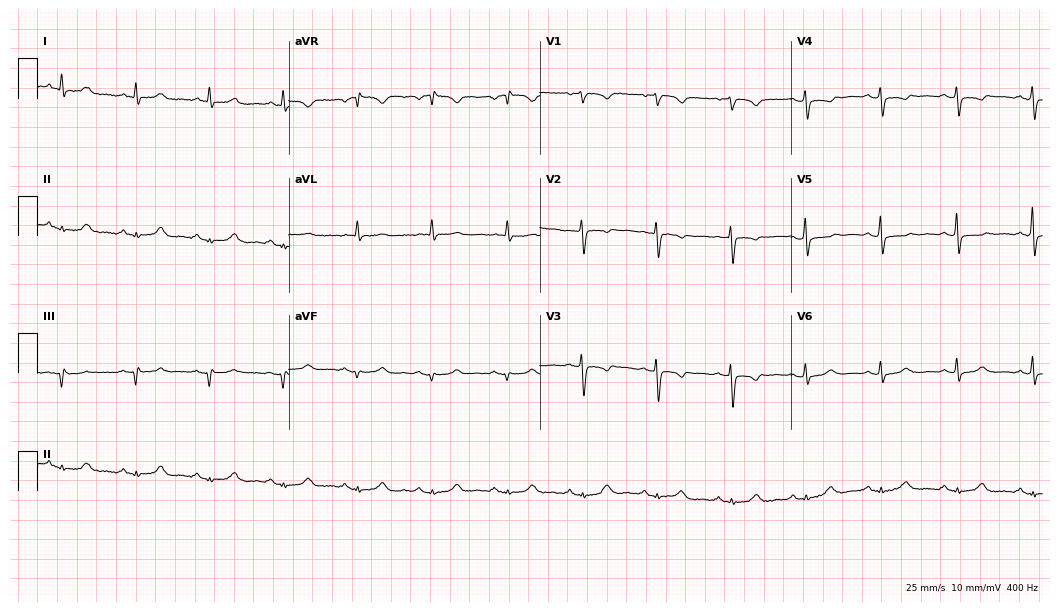
Standard 12-lead ECG recorded from a woman, 62 years old (10.2-second recording at 400 Hz). None of these six findings is recorded: first-degree AV block, right bundle branch block (RBBB), left bundle branch block (LBBB), sinus bradycardia, atrial fibrillation (AF), sinus tachycardia.